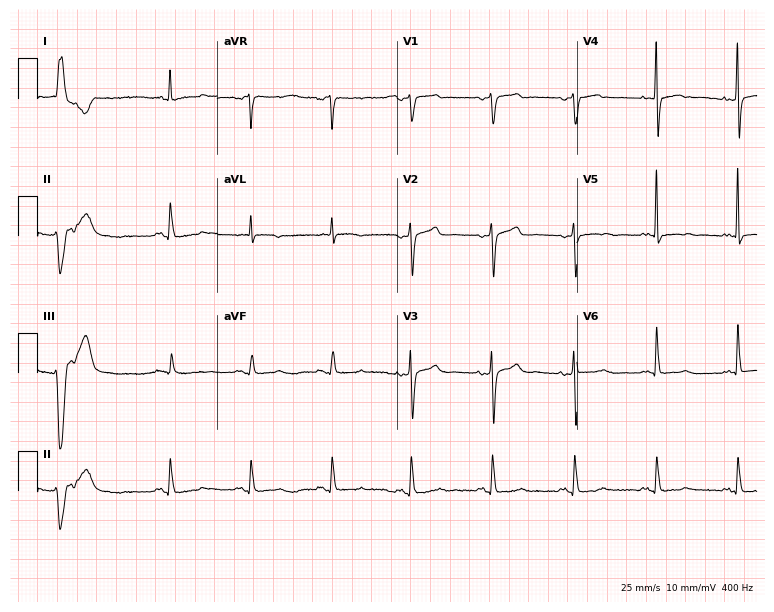
Electrocardiogram (7.3-second recording at 400 Hz), a 67-year-old female. Overall reading on record: normal ECG.